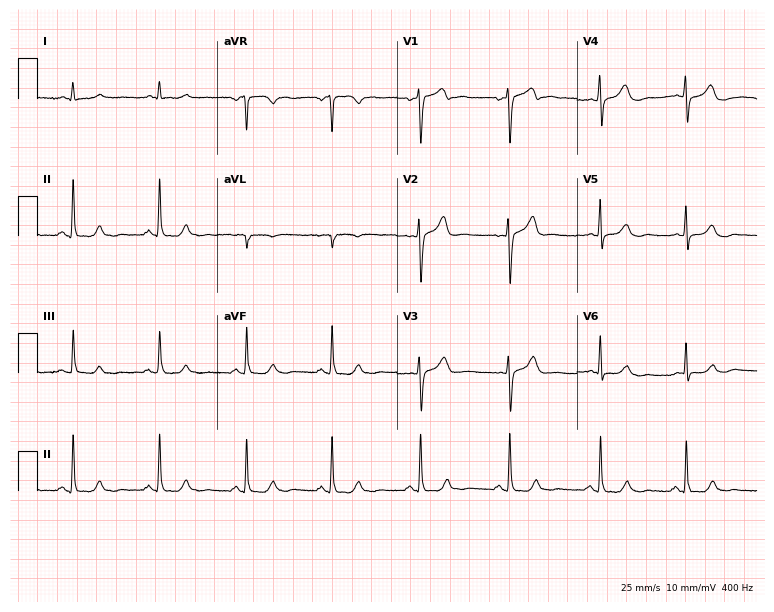
12-lead ECG (7.3-second recording at 400 Hz) from a 43-year-old male patient. Screened for six findings — first-degree AV block, right bundle branch block, left bundle branch block, sinus bradycardia, atrial fibrillation, sinus tachycardia — none is recorded. Findings outside these six are not listed.